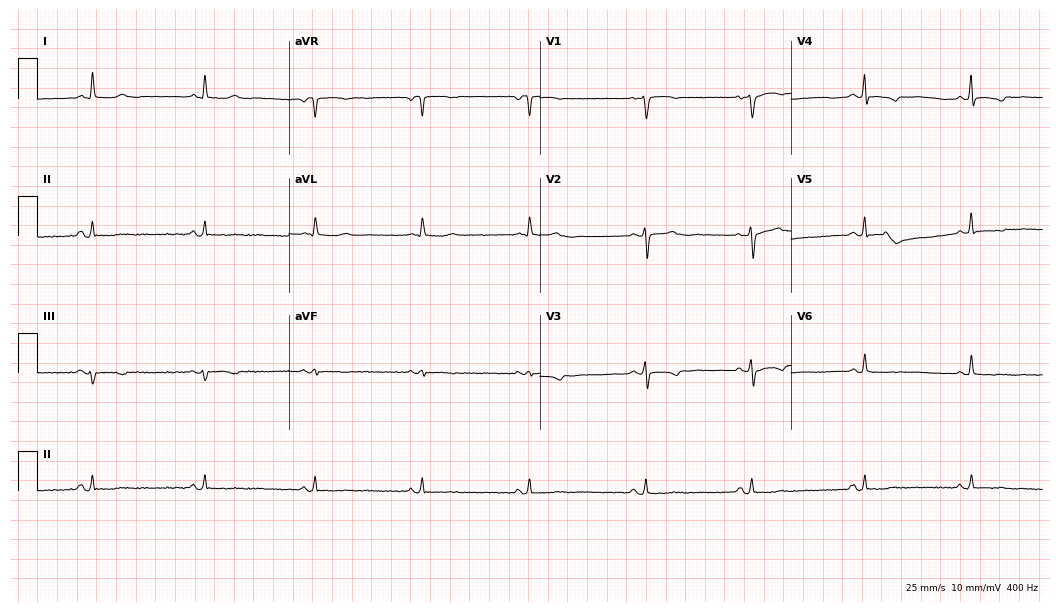
ECG (10.2-second recording at 400 Hz) — a woman, 66 years old. Screened for six findings — first-degree AV block, right bundle branch block, left bundle branch block, sinus bradycardia, atrial fibrillation, sinus tachycardia — none is recorded.